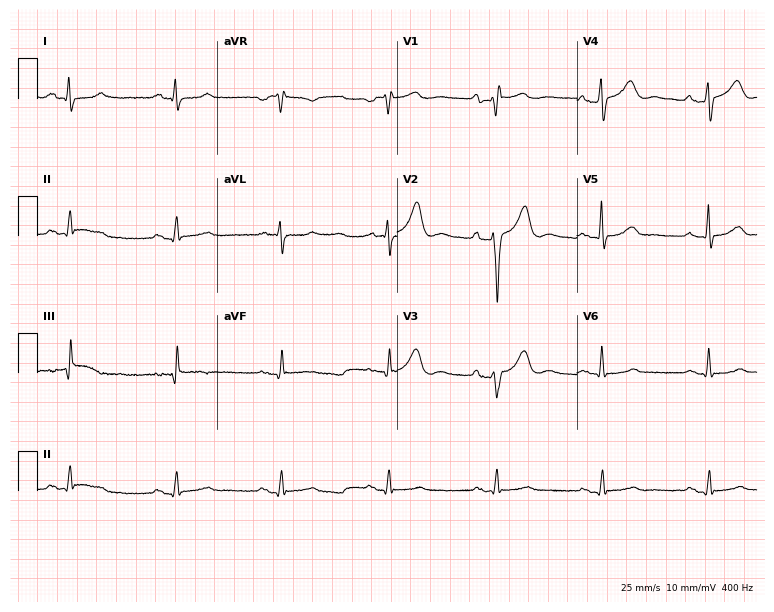
12-lead ECG (7.3-second recording at 400 Hz) from a 54-year-old male patient. Screened for six findings — first-degree AV block, right bundle branch block (RBBB), left bundle branch block (LBBB), sinus bradycardia, atrial fibrillation (AF), sinus tachycardia — none is recorded.